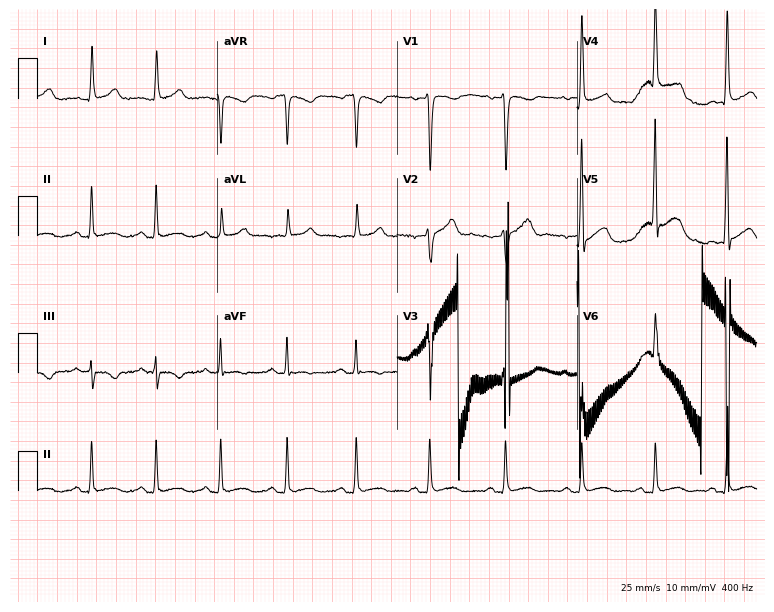
12-lead ECG from a 30-year-old male patient (7.3-second recording at 400 Hz). No first-degree AV block, right bundle branch block, left bundle branch block, sinus bradycardia, atrial fibrillation or sinus tachycardia recorded for this tracing.